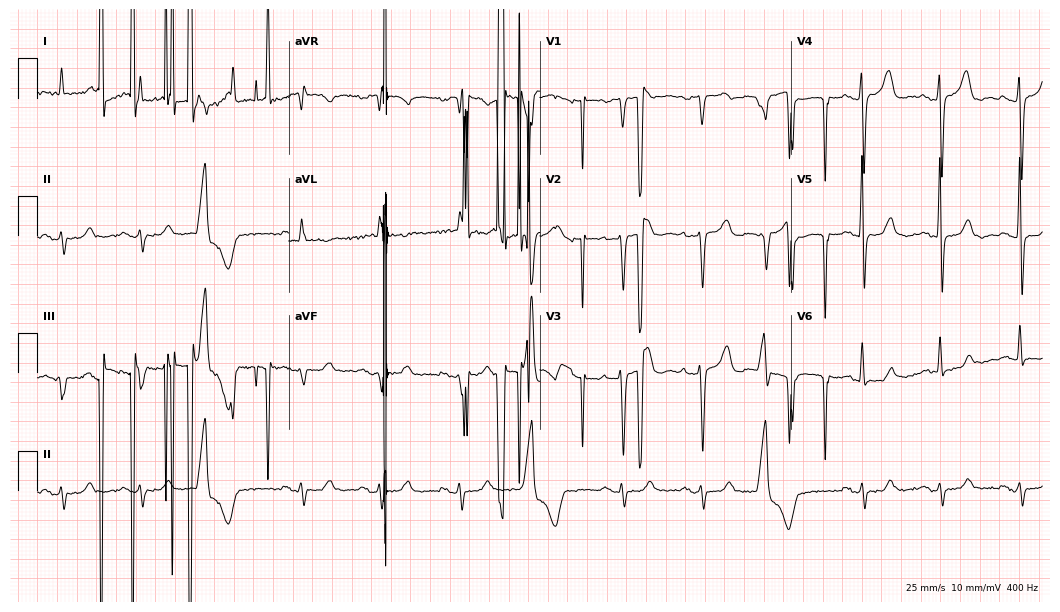
Electrocardiogram, a man, 83 years old. Of the six screened findings (first-degree AV block, right bundle branch block, left bundle branch block, sinus bradycardia, atrial fibrillation, sinus tachycardia), none is recorded. Only these six findings were labelled.